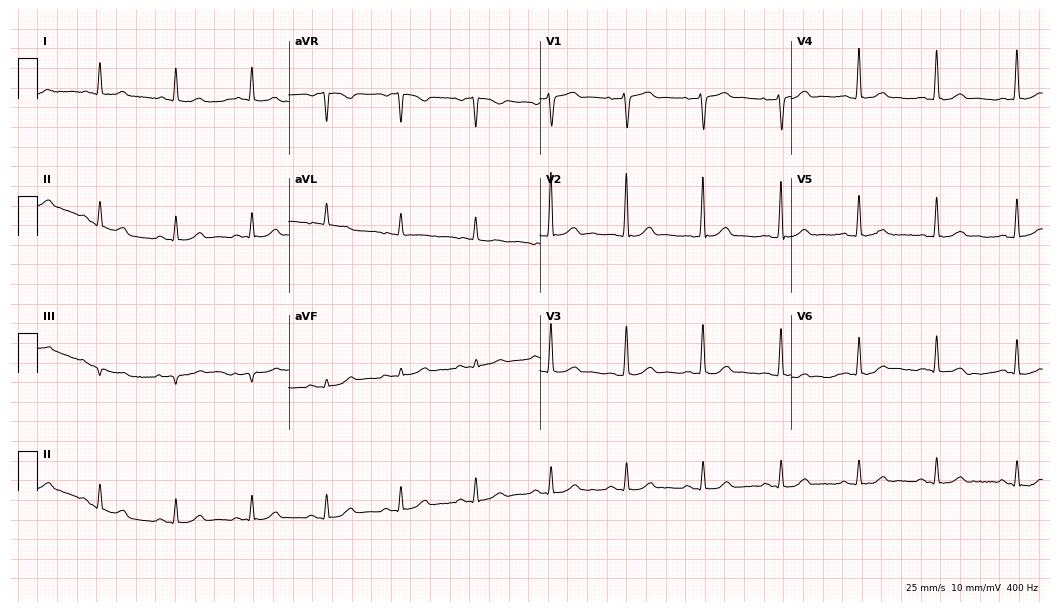
12-lead ECG from a 79-year-old male (10.2-second recording at 400 Hz). Recorded interpretation: within normal limits.